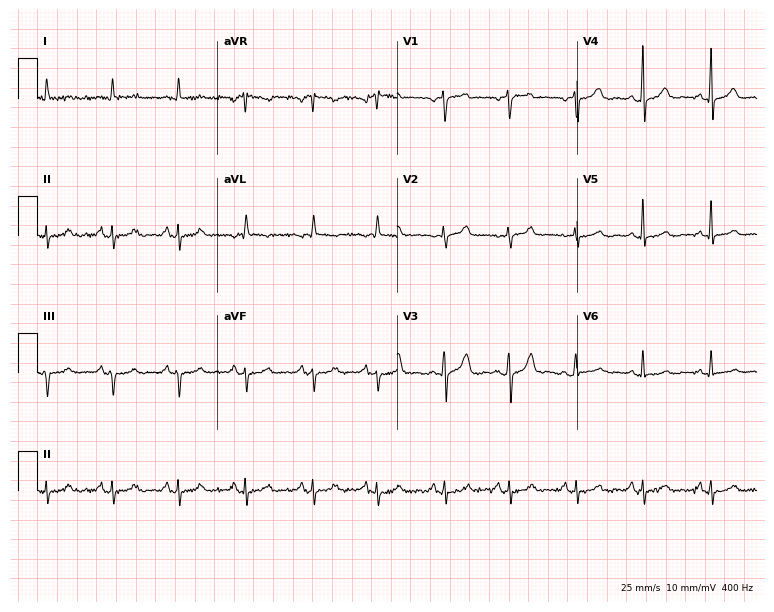
12-lead ECG from a male, 57 years old. Recorded interpretation: within normal limits.